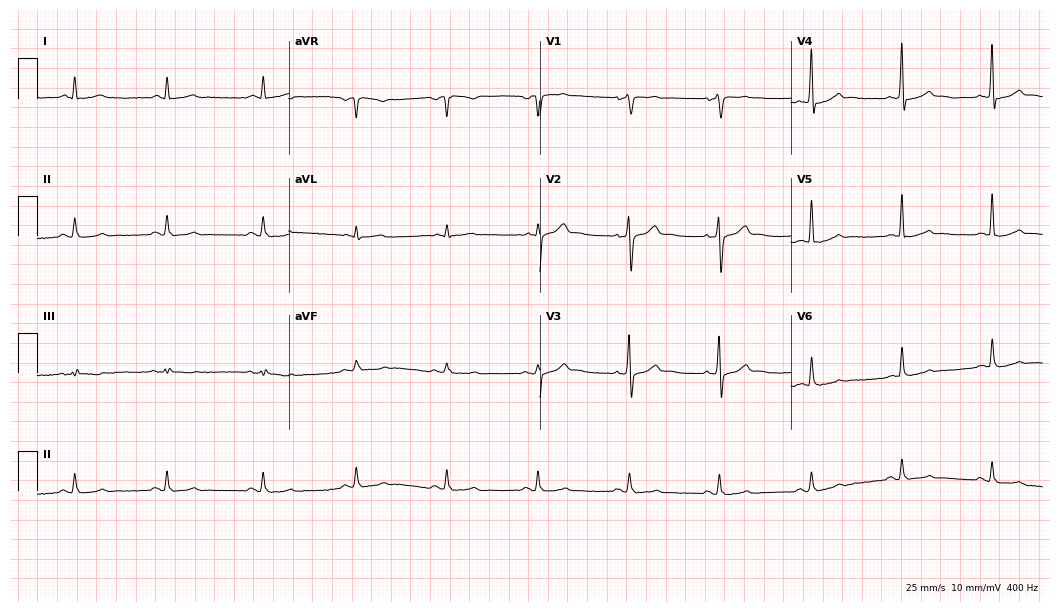
Electrocardiogram, a male, 71 years old. Of the six screened findings (first-degree AV block, right bundle branch block (RBBB), left bundle branch block (LBBB), sinus bradycardia, atrial fibrillation (AF), sinus tachycardia), none is recorded. Only these six findings were labelled.